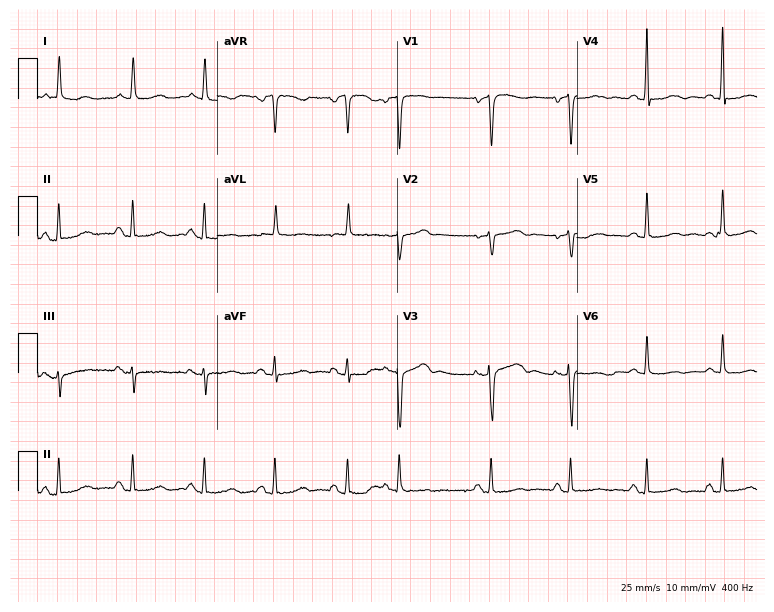
12-lead ECG (7.3-second recording at 400 Hz) from a woman, 62 years old. Screened for six findings — first-degree AV block, right bundle branch block (RBBB), left bundle branch block (LBBB), sinus bradycardia, atrial fibrillation (AF), sinus tachycardia — none is recorded. Findings outside these six are not listed.